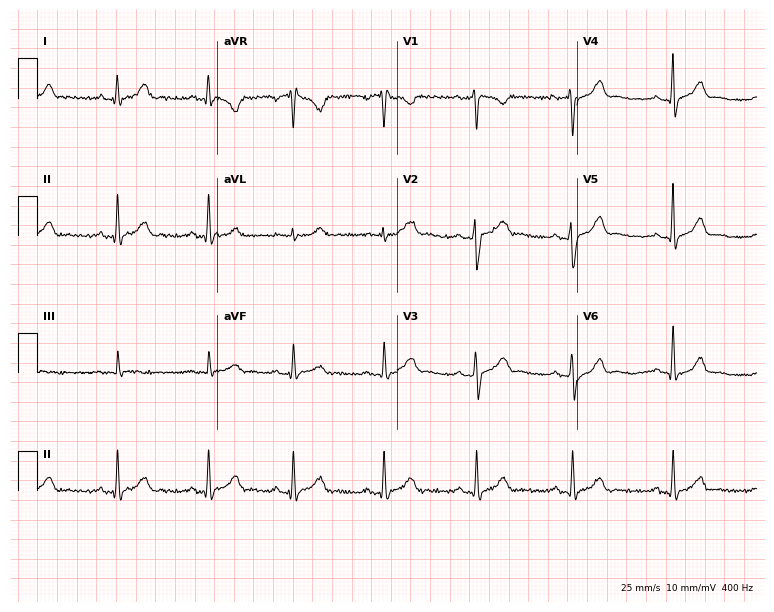
Standard 12-lead ECG recorded from a 34-year-old male patient (7.3-second recording at 400 Hz). Read as a normal ECG.